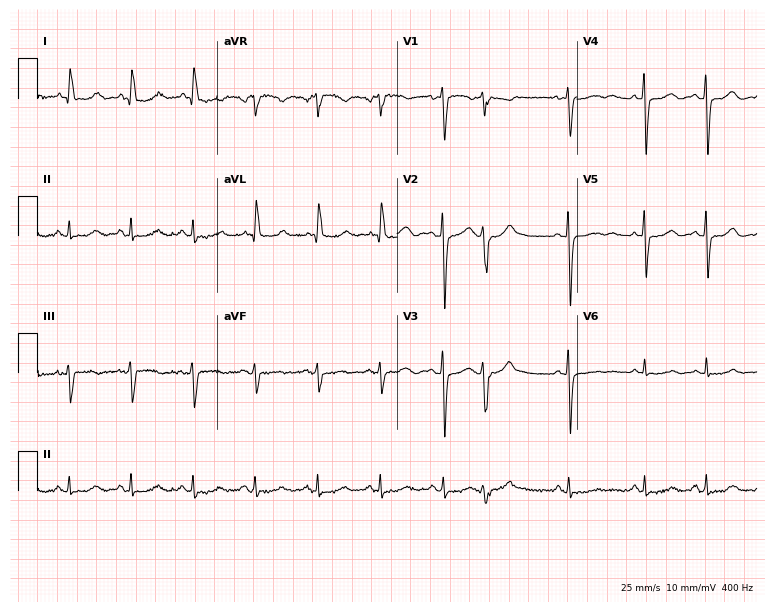
12-lead ECG (7.3-second recording at 400 Hz) from a 71-year-old woman. Screened for six findings — first-degree AV block, right bundle branch block, left bundle branch block, sinus bradycardia, atrial fibrillation, sinus tachycardia — none is recorded. Findings outside these six are not listed.